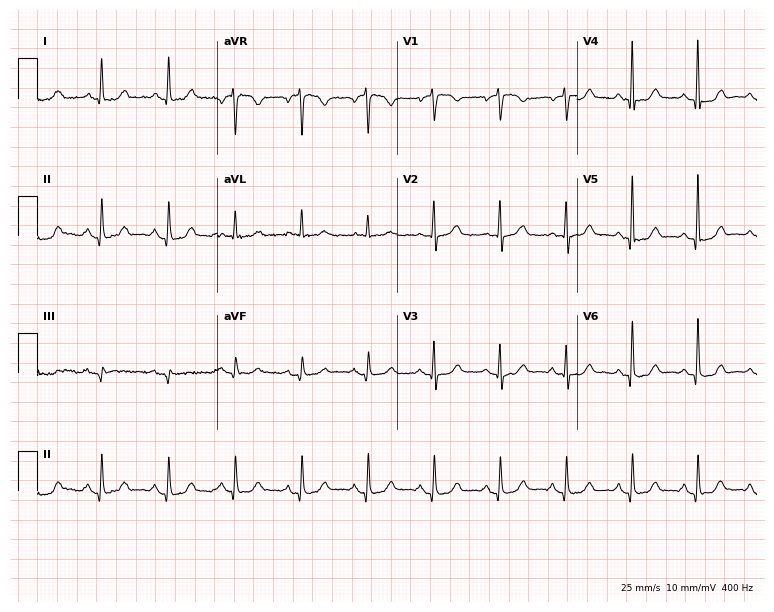
Standard 12-lead ECG recorded from a woman, 76 years old. Read as a normal ECG.